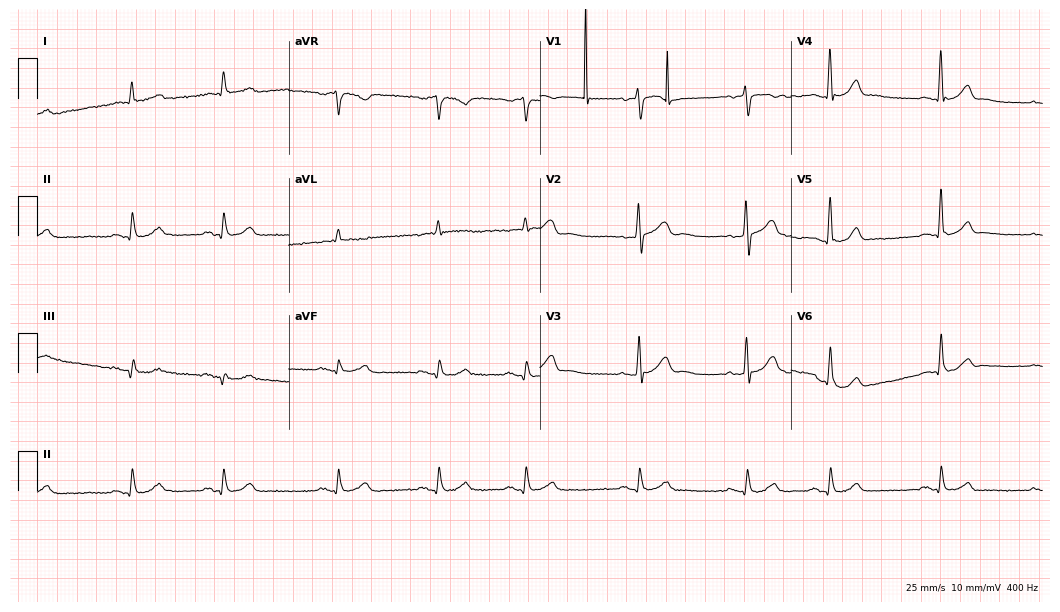
Electrocardiogram, a 63-year-old man. Of the six screened findings (first-degree AV block, right bundle branch block (RBBB), left bundle branch block (LBBB), sinus bradycardia, atrial fibrillation (AF), sinus tachycardia), none is recorded. Only these six findings were labelled.